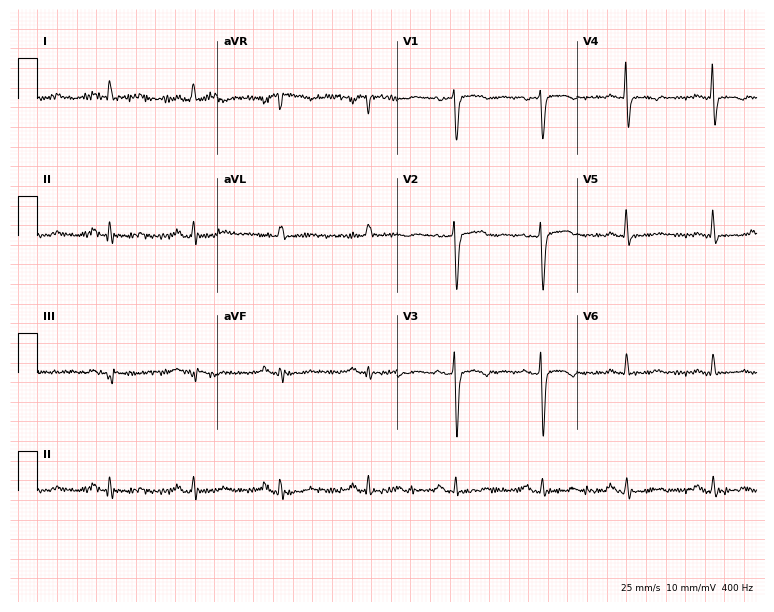
12-lead ECG from a 66-year-old female patient. Screened for six findings — first-degree AV block, right bundle branch block, left bundle branch block, sinus bradycardia, atrial fibrillation, sinus tachycardia — none is recorded.